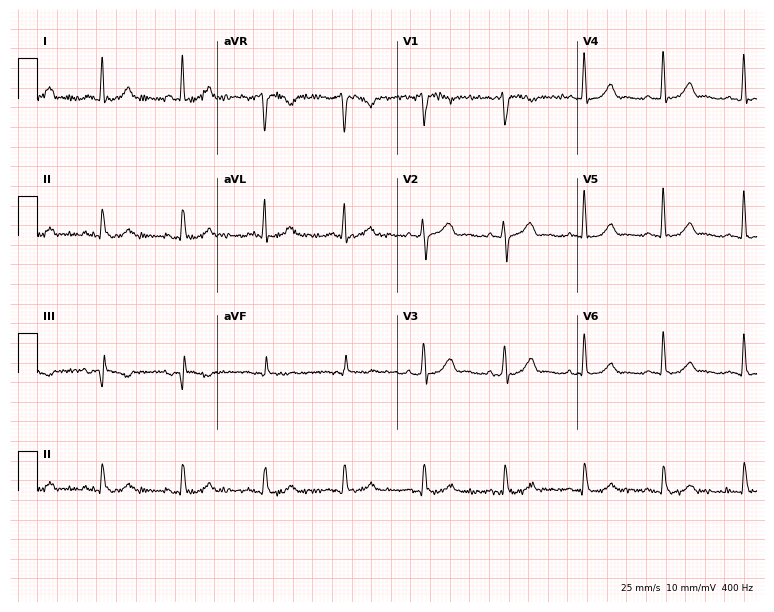
Resting 12-lead electrocardiogram (7.3-second recording at 400 Hz). Patient: a 68-year-old male. Read as a normal ECG.